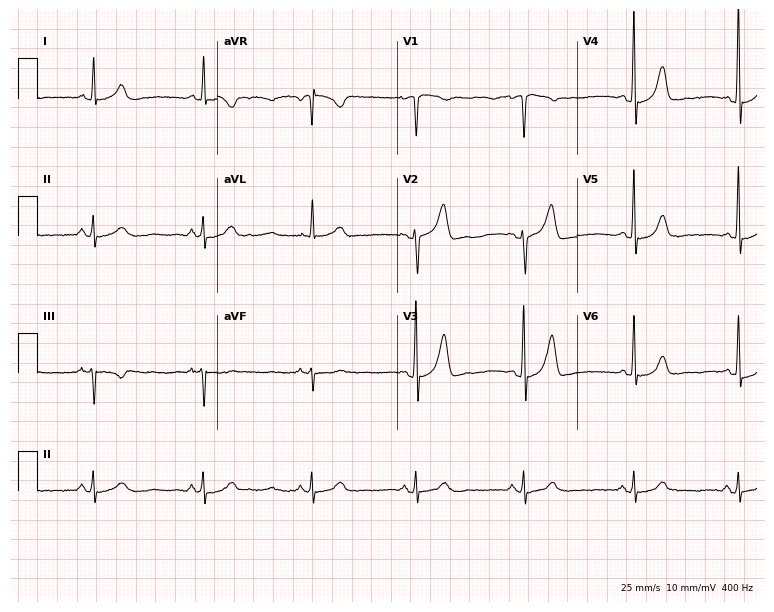
ECG — a female, 56 years old. Labelled as a normal ECG.